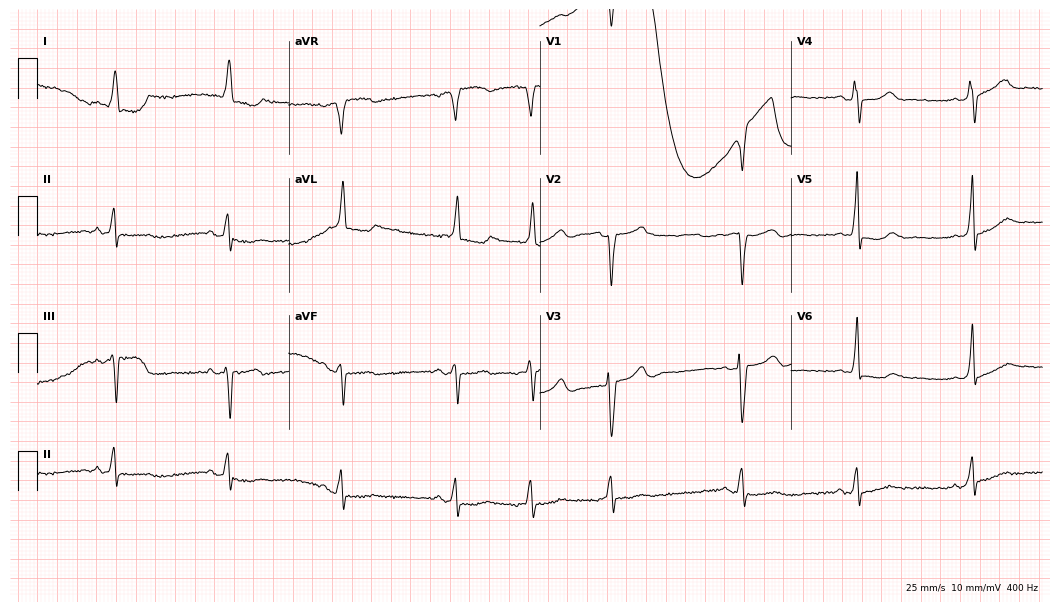
12-lead ECG from a 70-year-old woman. Screened for six findings — first-degree AV block, right bundle branch block (RBBB), left bundle branch block (LBBB), sinus bradycardia, atrial fibrillation (AF), sinus tachycardia — none is recorded. Findings outside these six are not listed.